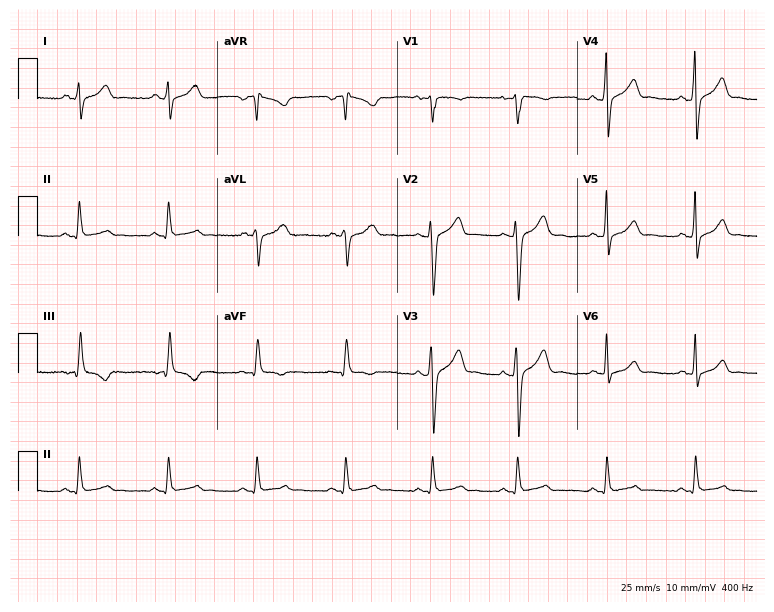
Standard 12-lead ECG recorded from a 33-year-old man. Read as a normal ECG.